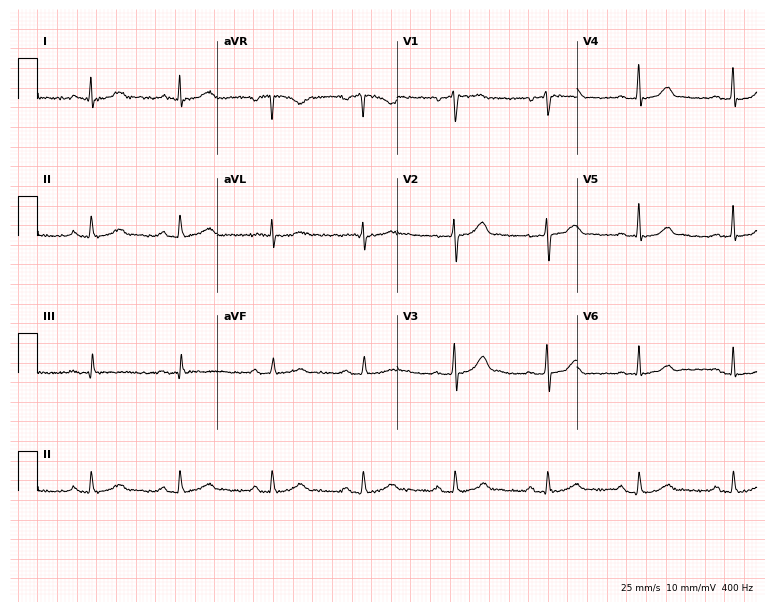
12-lead ECG from a 47-year-old man (7.3-second recording at 400 Hz). No first-degree AV block, right bundle branch block (RBBB), left bundle branch block (LBBB), sinus bradycardia, atrial fibrillation (AF) or sinus tachycardia recorded for this tracing.